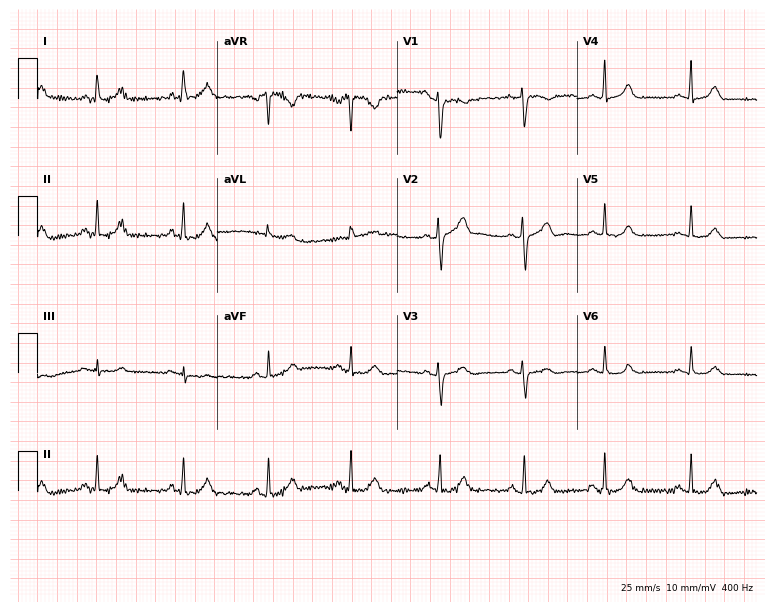
12-lead ECG from a 42-year-old woman. Recorded interpretation: within normal limits.